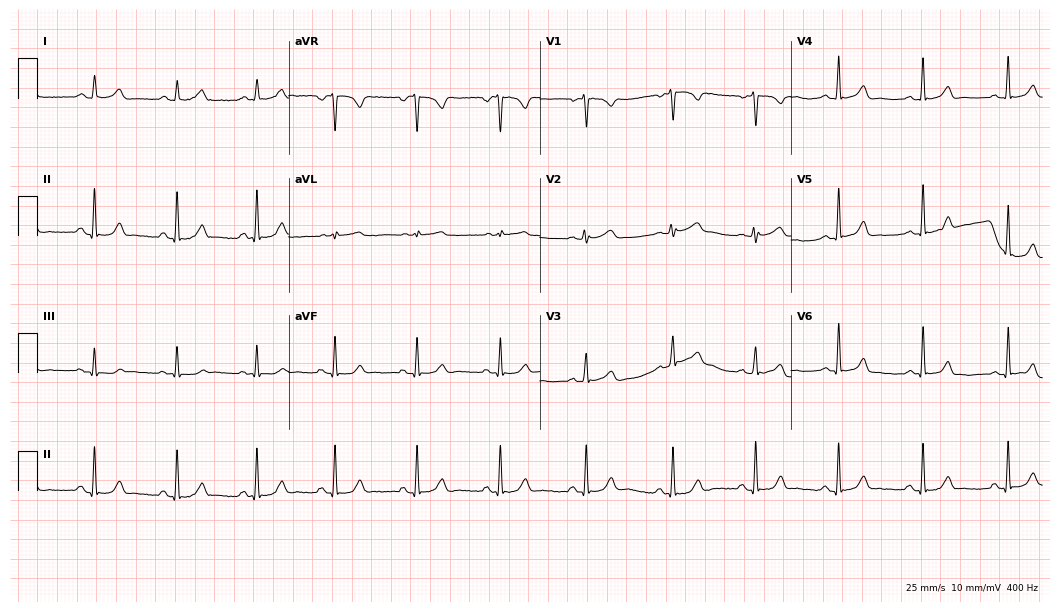
ECG (10.2-second recording at 400 Hz) — a 28-year-old female patient. Labelled as a normal ECG.